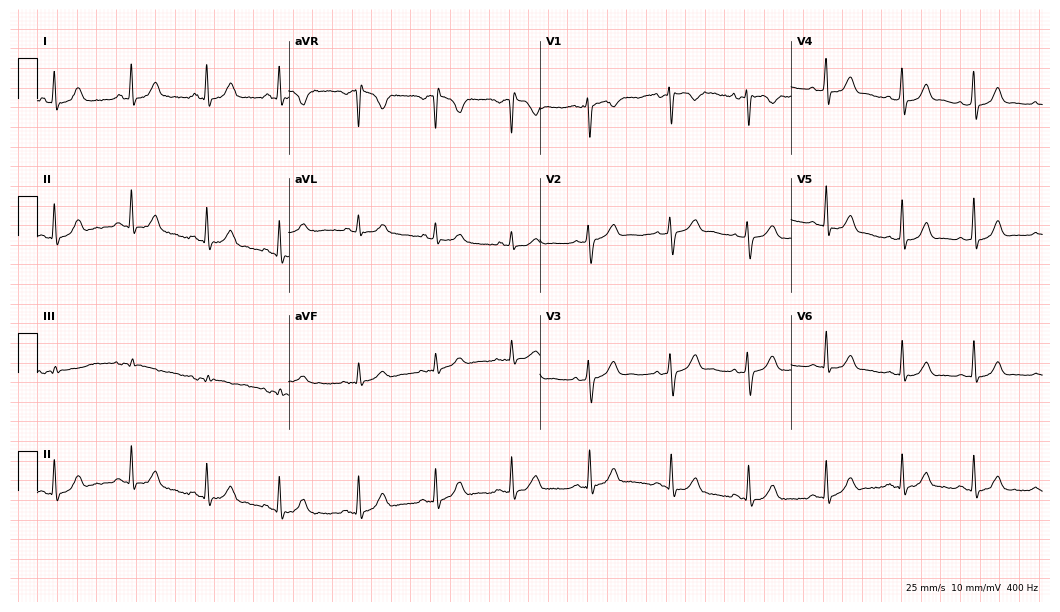
Resting 12-lead electrocardiogram (10.2-second recording at 400 Hz). Patient: a 27-year-old female. Read as a normal ECG.